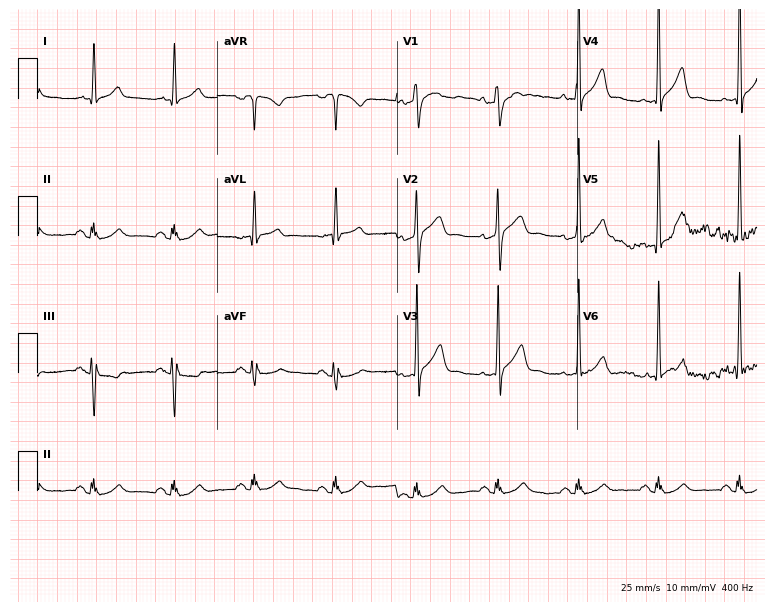
Electrocardiogram (7.3-second recording at 400 Hz), a 79-year-old male patient. Overall reading on record: normal ECG.